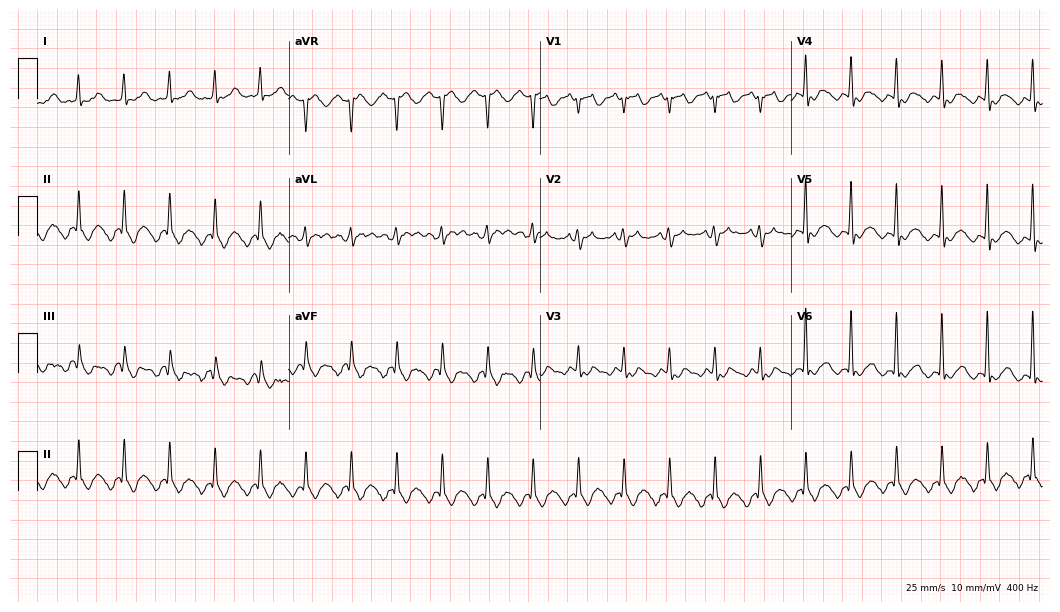
Electrocardiogram (10.2-second recording at 400 Hz), a 79-year-old female patient. Of the six screened findings (first-degree AV block, right bundle branch block (RBBB), left bundle branch block (LBBB), sinus bradycardia, atrial fibrillation (AF), sinus tachycardia), none is recorded. Only these six findings were labelled.